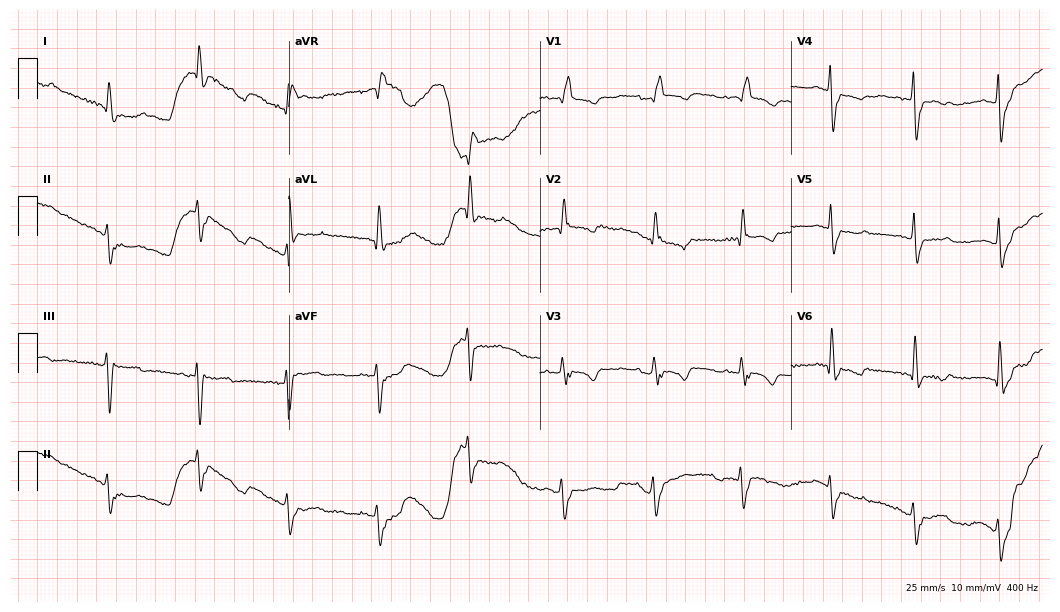
12-lead ECG from an 84-year-old woman. Shows right bundle branch block (RBBB).